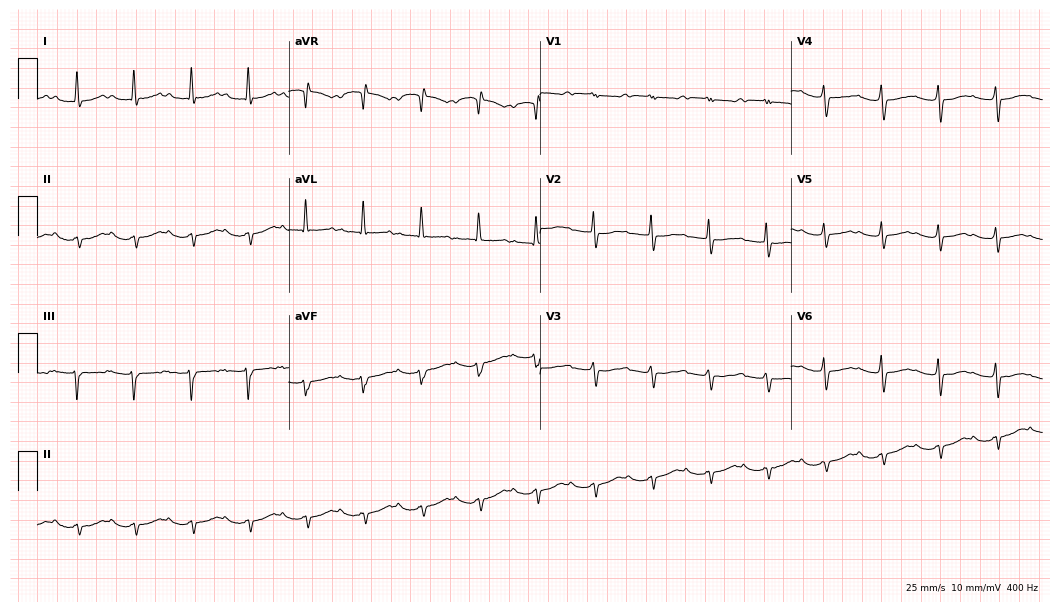
Standard 12-lead ECG recorded from an 80-year-old female. The tracing shows first-degree AV block.